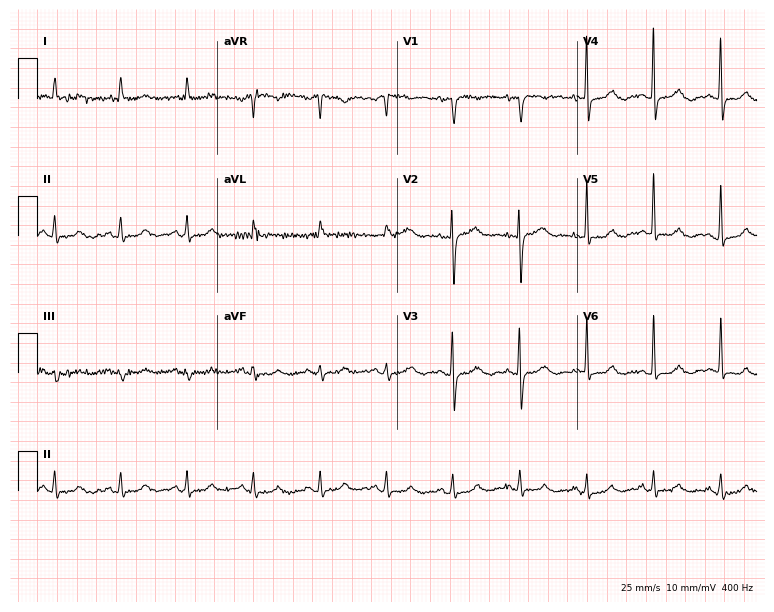
Standard 12-lead ECG recorded from a 79-year-old female patient. Read as a normal ECG.